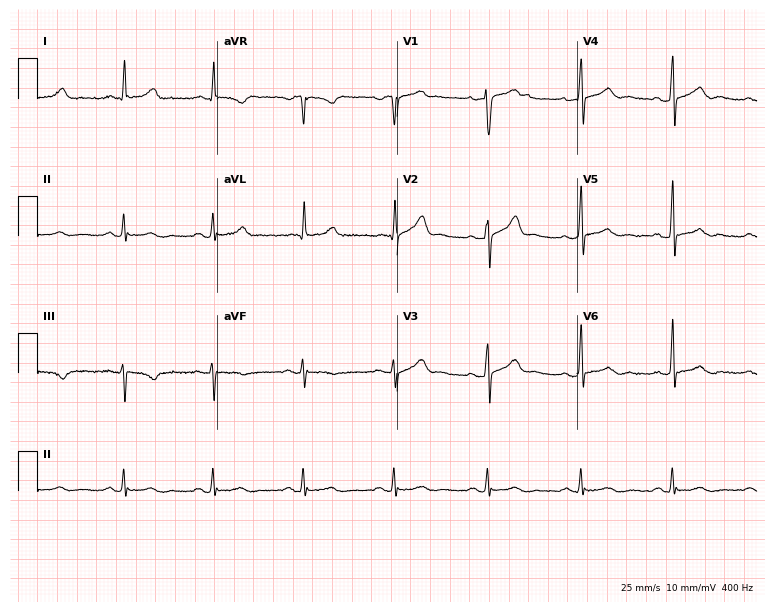
Electrocardiogram, a 56-year-old male. Overall reading on record: normal ECG.